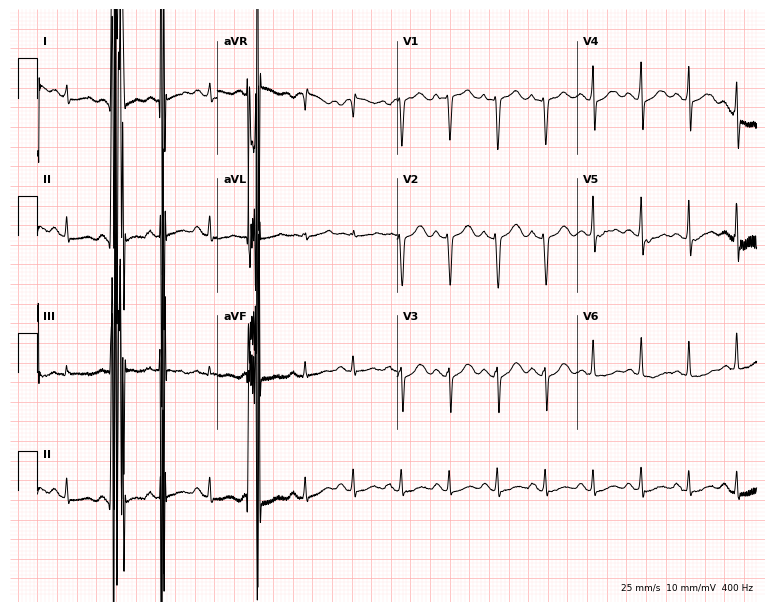
12-lead ECG from a female patient, 69 years old. Screened for six findings — first-degree AV block, right bundle branch block, left bundle branch block, sinus bradycardia, atrial fibrillation, sinus tachycardia — none is recorded. Findings outside these six are not listed.